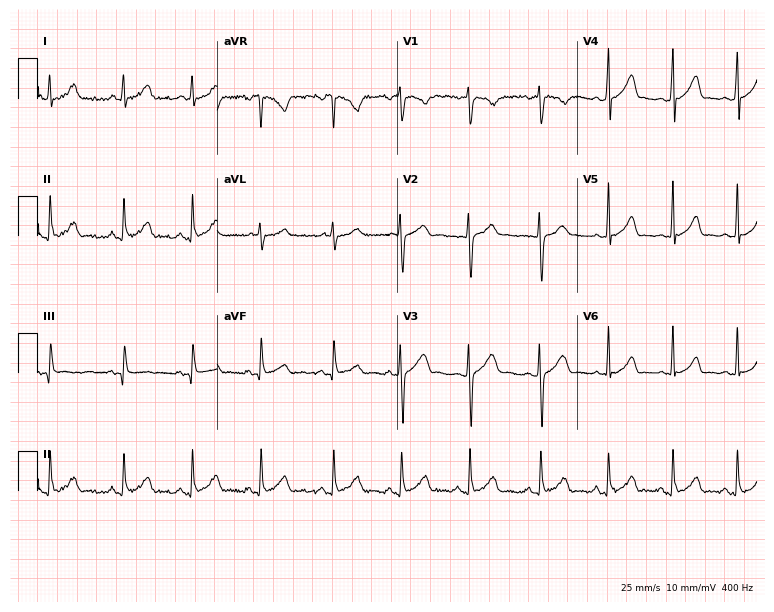
Electrocardiogram (7.3-second recording at 400 Hz), a female, 25 years old. Of the six screened findings (first-degree AV block, right bundle branch block, left bundle branch block, sinus bradycardia, atrial fibrillation, sinus tachycardia), none is recorded. Other findings, if any, are not listed.